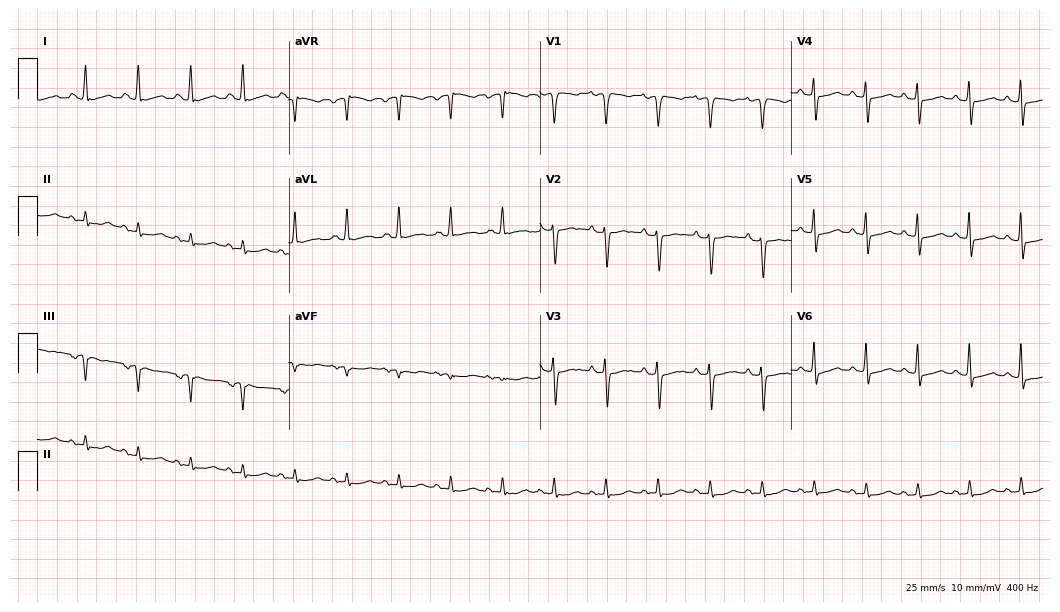
ECG — a female, 81 years old. Screened for six findings — first-degree AV block, right bundle branch block (RBBB), left bundle branch block (LBBB), sinus bradycardia, atrial fibrillation (AF), sinus tachycardia — none is recorded. Other findings, if any, are not listed.